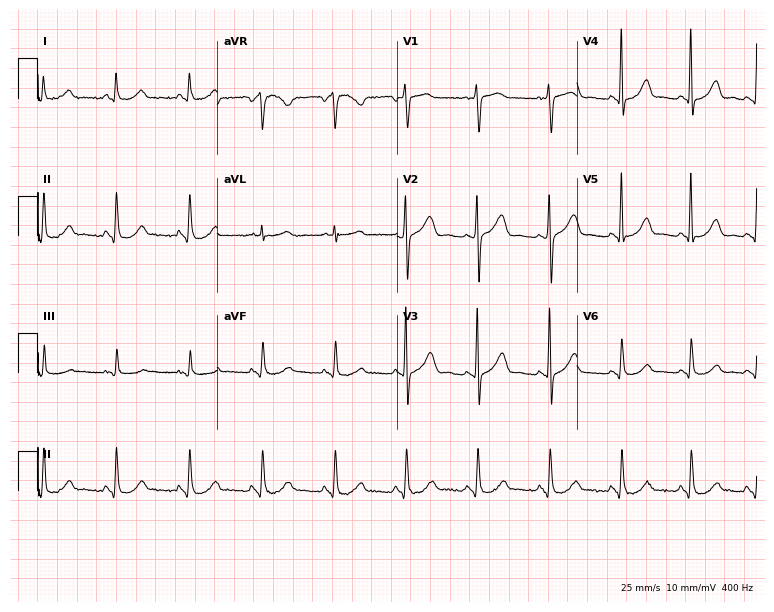
Electrocardiogram, a female patient, 59 years old. Of the six screened findings (first-degree AV block, right bundle branch block (RBBB), left bundle branch block (LBBB), sinus bradycardia, atrial fibrillation (AF), sinus tachycardia), none is recorded. Findings outside these six are not listed.